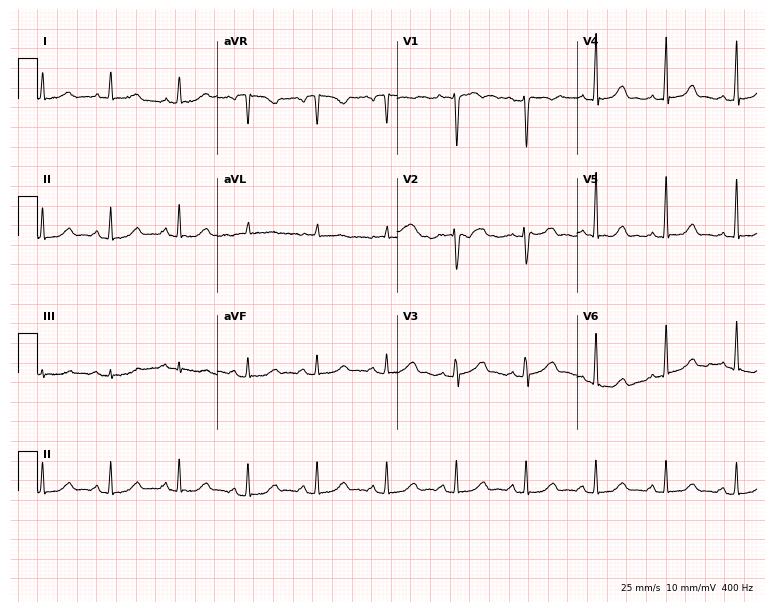
Resting 12-lead electrocardiogram. Patient: a female, 55 years old. Read as a normal ECG.